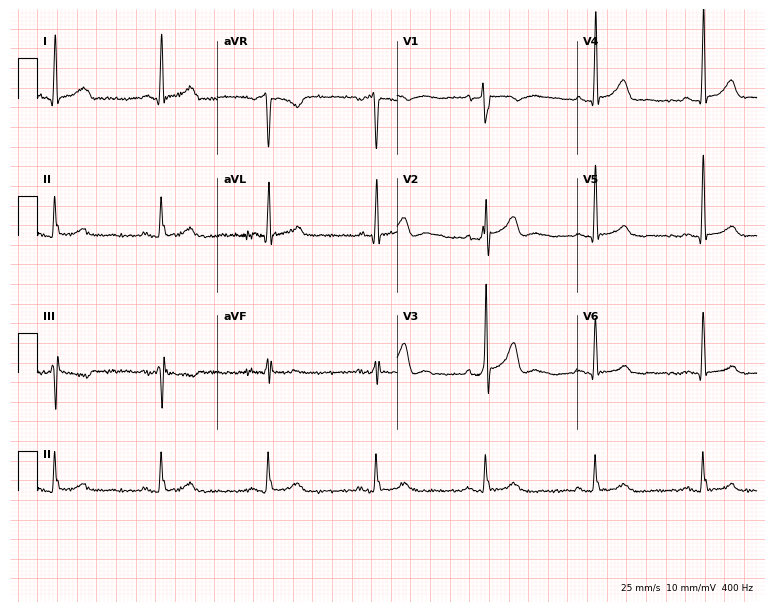
Resting 12-lead electrocardiogram (7.3-second recording at 400 Hz). Patient: a male, 54 years old. Read as a normal ECG.